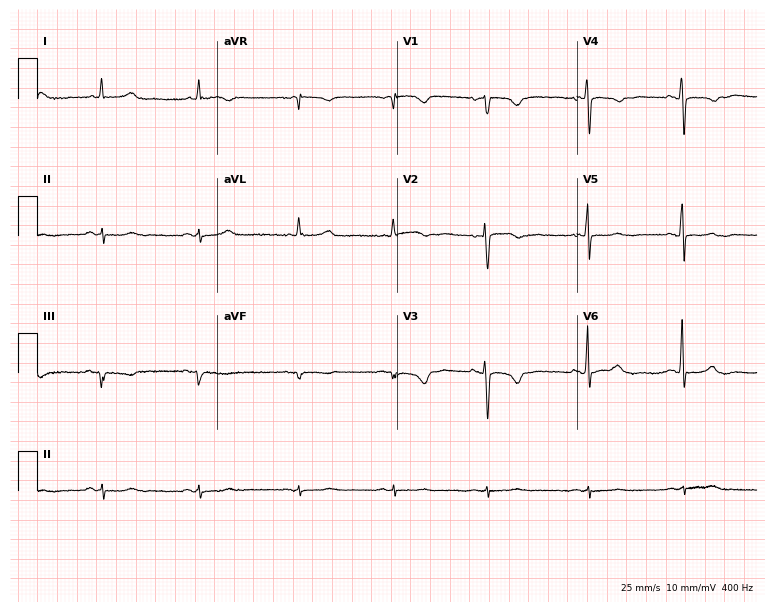
Standard 12-lead ECG recorded from a 74-year-old female patient (7.3-second recording at 400 Hz). None of these six findings is recorded: first-degree AV block, right bundle branch block, left bundle branch block, sinus bradycardia, atrial fibrillation, sinus tachycardia. Findings outside these six are not listed.